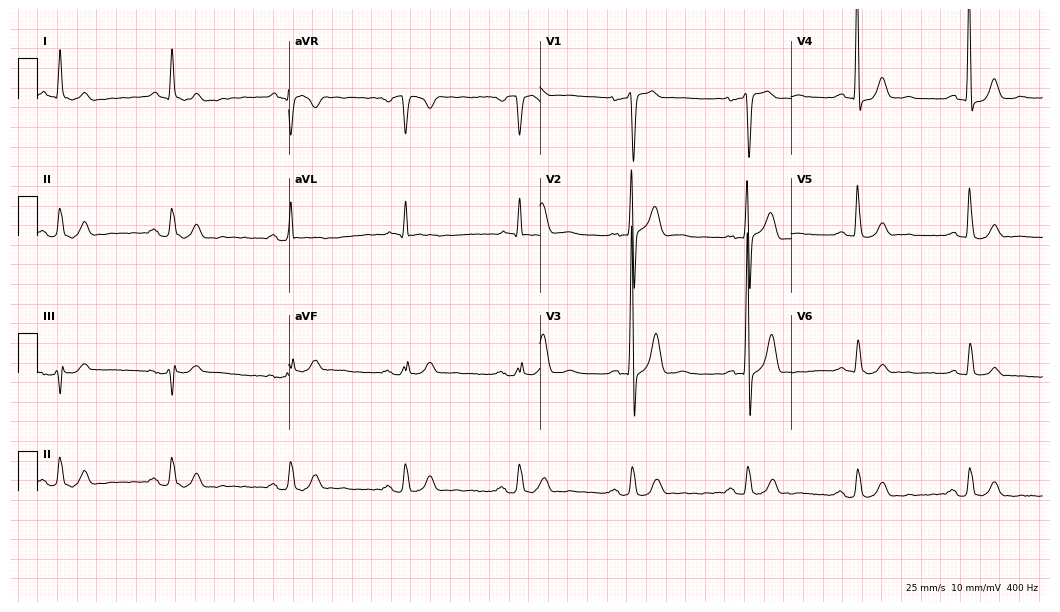
ECG (10.2-second recording at 400 Hz) — a 77-year-old man. Labelled as a normal ECG.